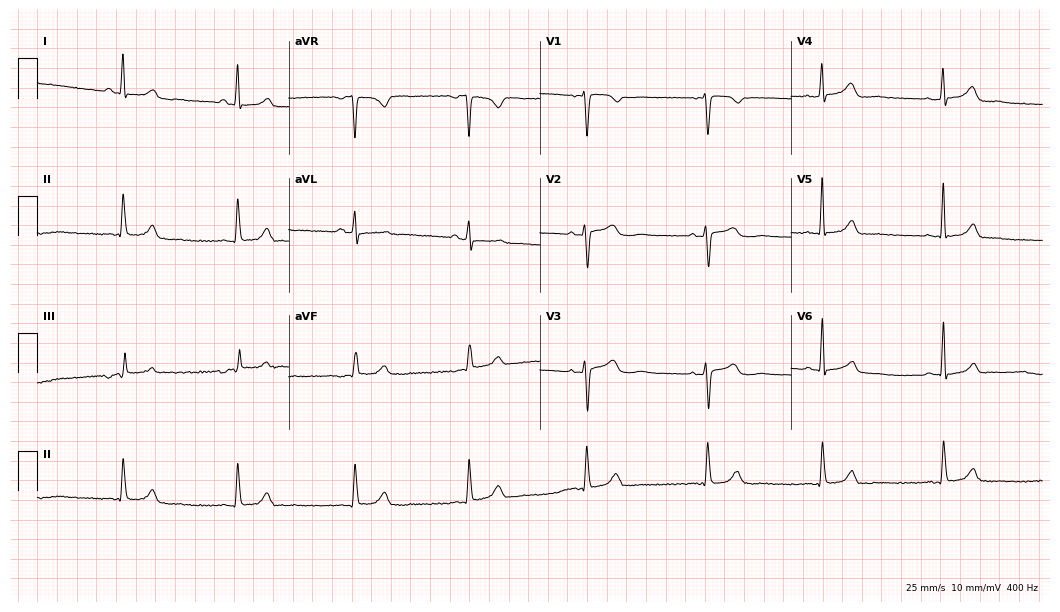
Resting 12-lead electrocardiogram (10.2-second recording at 400 Hz). Patient: a 46-year-old woman. The tracing shows sinus bradycardia (a sinus rate of 50 beats per minute or less).